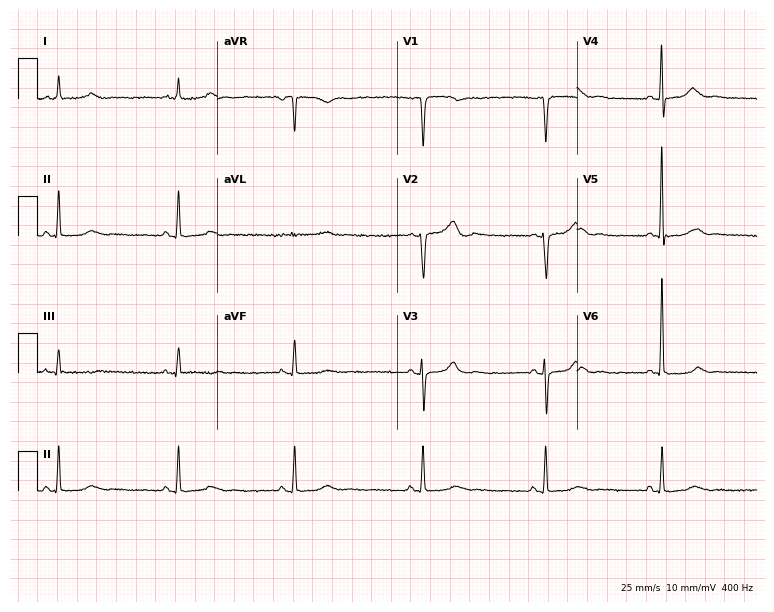
Standard 12-lead ECG recorded from a 48-year-old woman. The tracing shows sinus bradycardia (a sinus rate of 50 beats per minute or less).